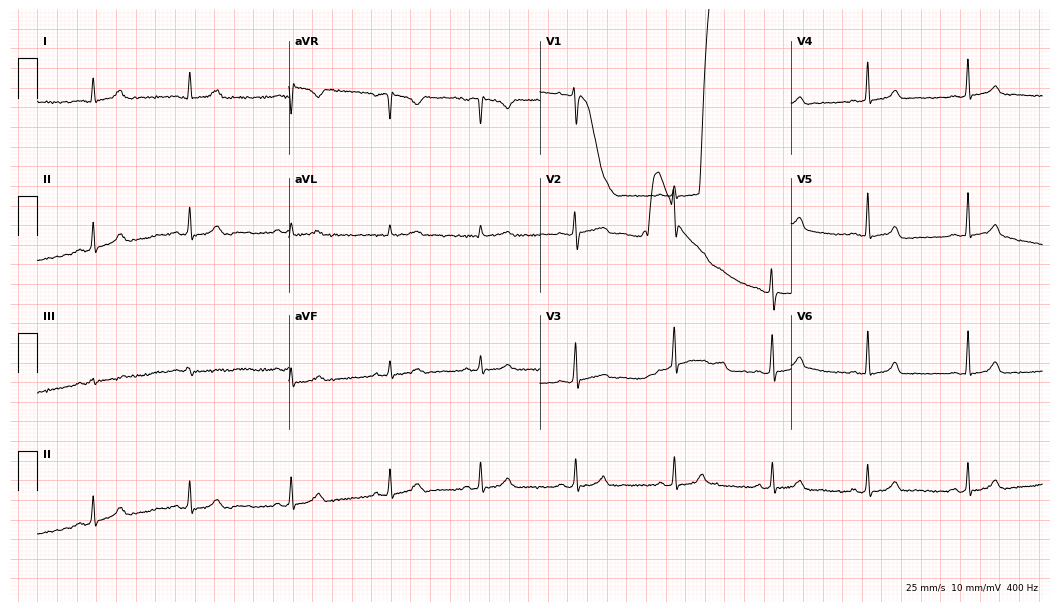
ECG — a 25-year-old woman. Screened for six findings — first-degree AV block, right bundle branch block, left bundle branch block, sinus bradycardia, atrial fibrillation, sinus tachycardia — none is recorded. Findings outside these six are not listed.